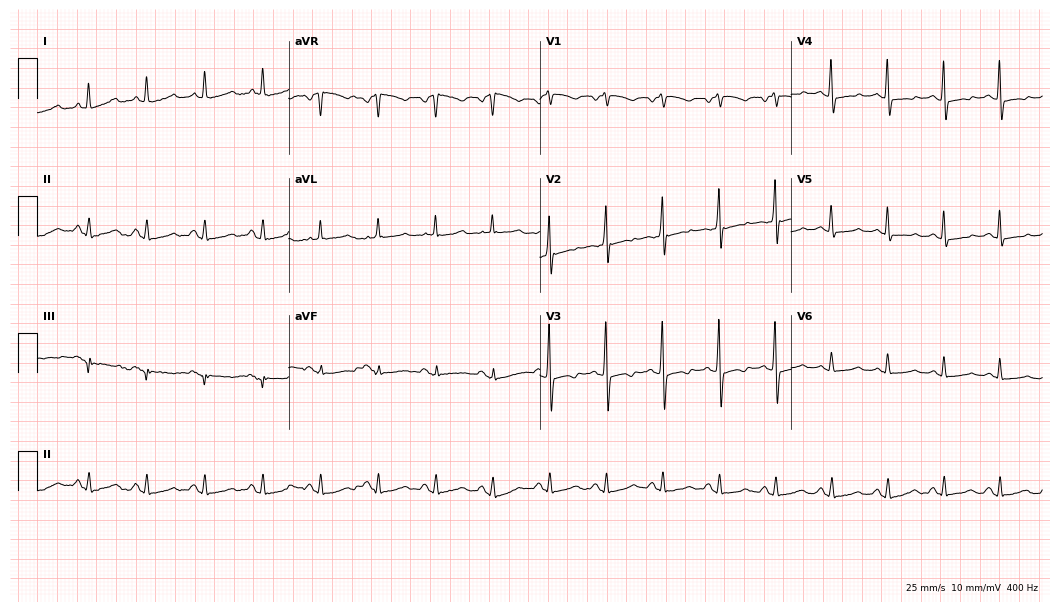
ECG — a 54-year-old female. Findings include sinus tachycardia (a sinus rate of 100 beats per minute or more).